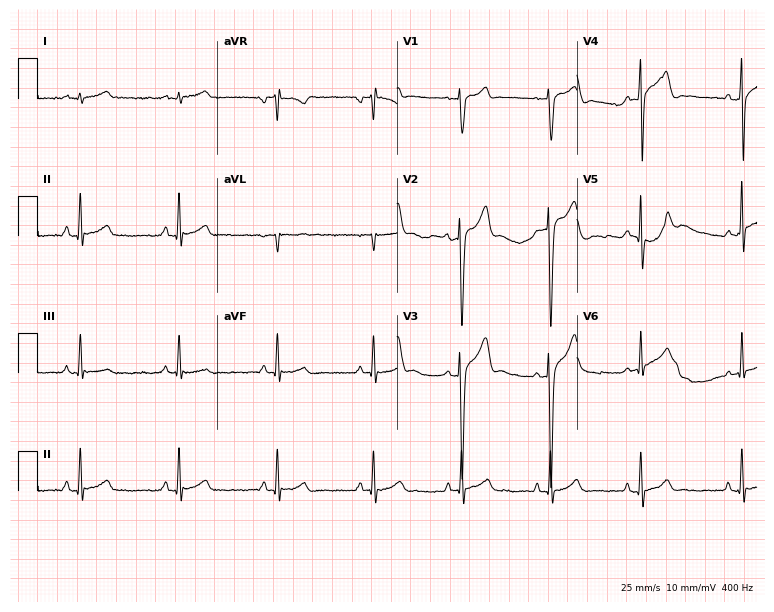
ECG — a male, 28 years old. Screened for six findings — first-degree AV block, right bundle branch block, left bundle branch block, sinus bradycardia, atrial fibrillation, sinus tachycardia — none is recorded.